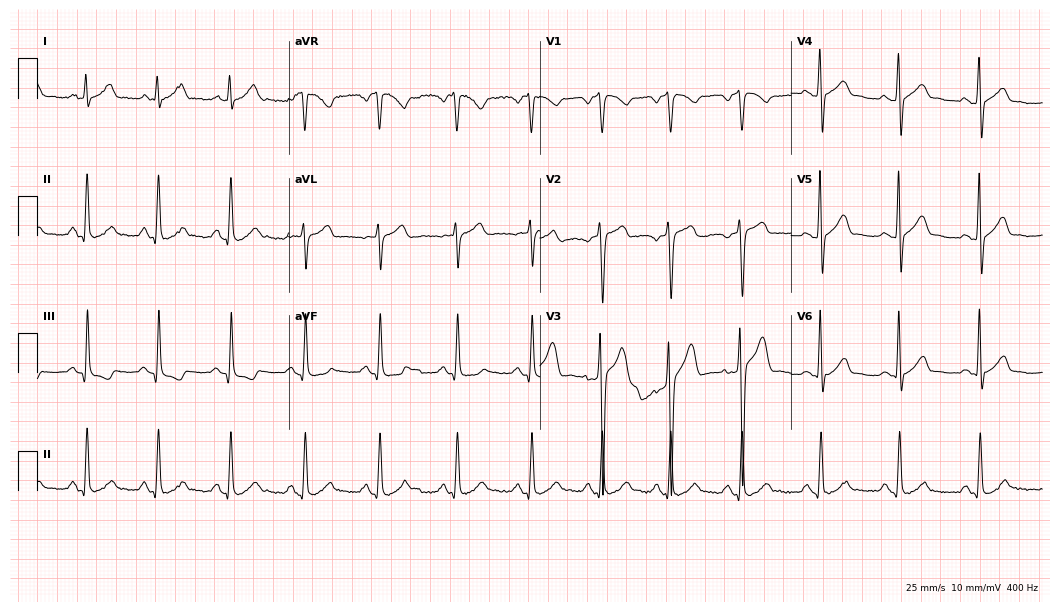
12-lead ECG from a male, 45 years old. Recorded interpretation: within normal limits.